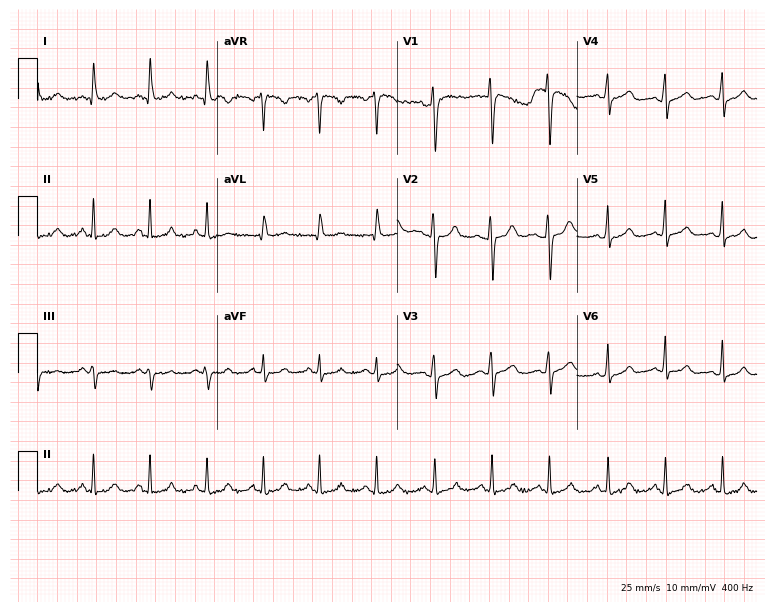
ECG — a female patient, 30 years old. Screened for six findings — first-degree AV block, right bundle branch block, left bundle branch block, sinus bradycardia, atrial fibrillation, sinus tachycardia — none is recorded.